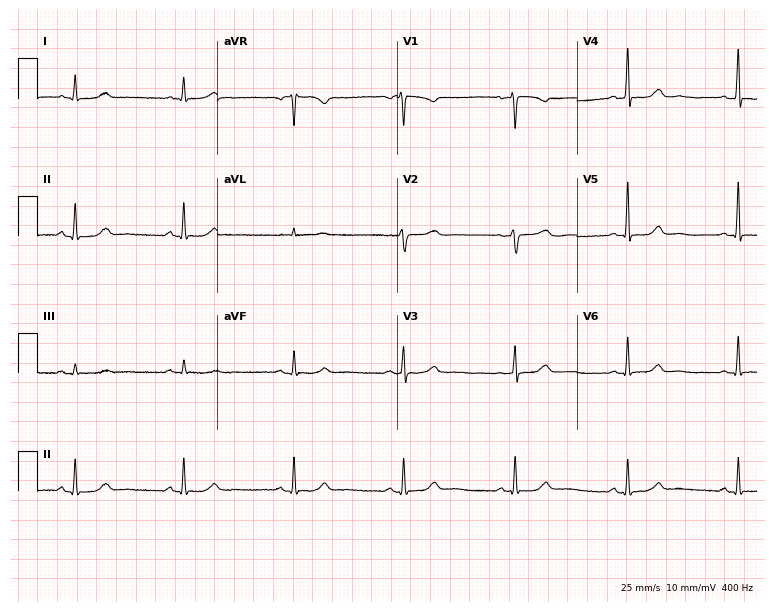
12-lead ECG (7.3-second recording at 400 Hz) from a woman, 56 years old. Labelled as a normal ECG.